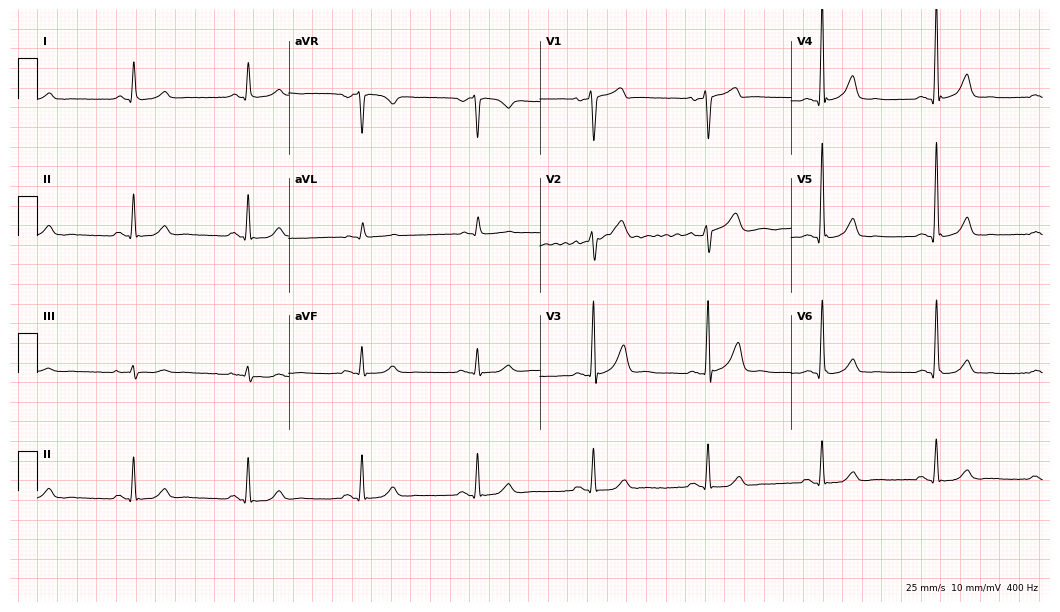
12-lead ECG from a 58-year-old man. Recorded interpretation: within normal limits.